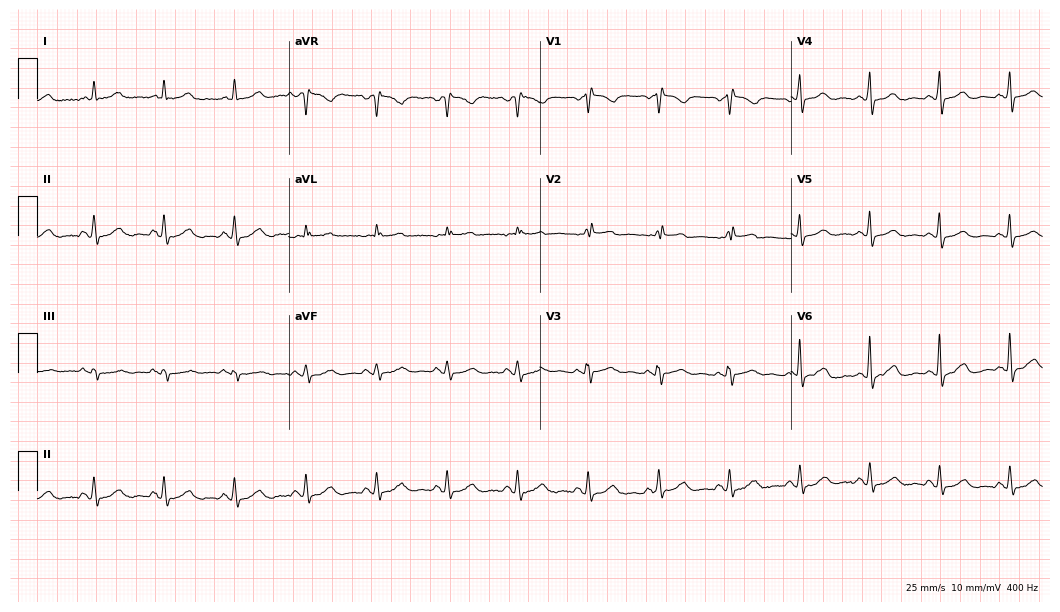
12-lead ECG (10.2-second recording at 400 Hz) from a male, 67 years old. Screened for six findings — first-degree AV block, right bundle branch block, left bundle branch block, sinus bradycardia, atrial fibrillation, sinus tachycardia — none is recorded. Findings outside these six are not listed.